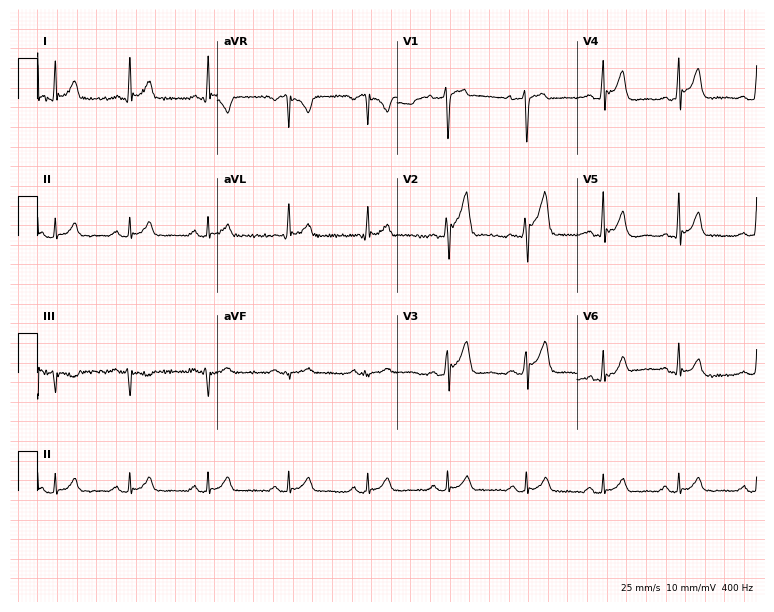
Standard 12-lead ECG recorded from a 30-year-old male patient. Read as a normal ECG.